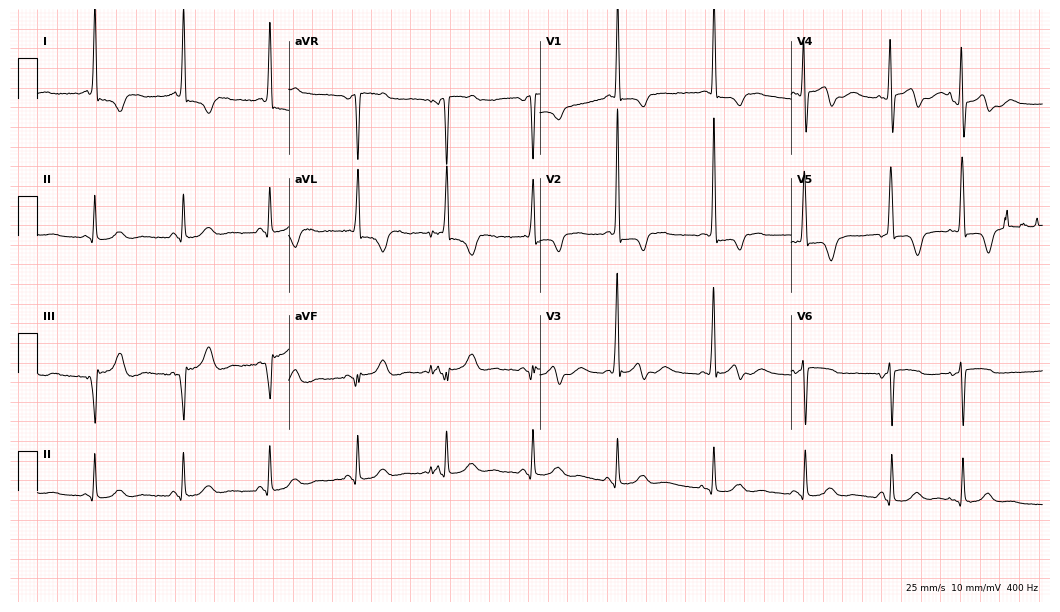
12-lead ECG from a female patient, 74 years old (10.2-second recording at 400 Hz). No first-degree AV block, right bundle branch block, left bundle branch block, sinus bradycardia, atrial fibrillation or sinus tachycardia recorded for this tracing. Findings outside these six are not listed.